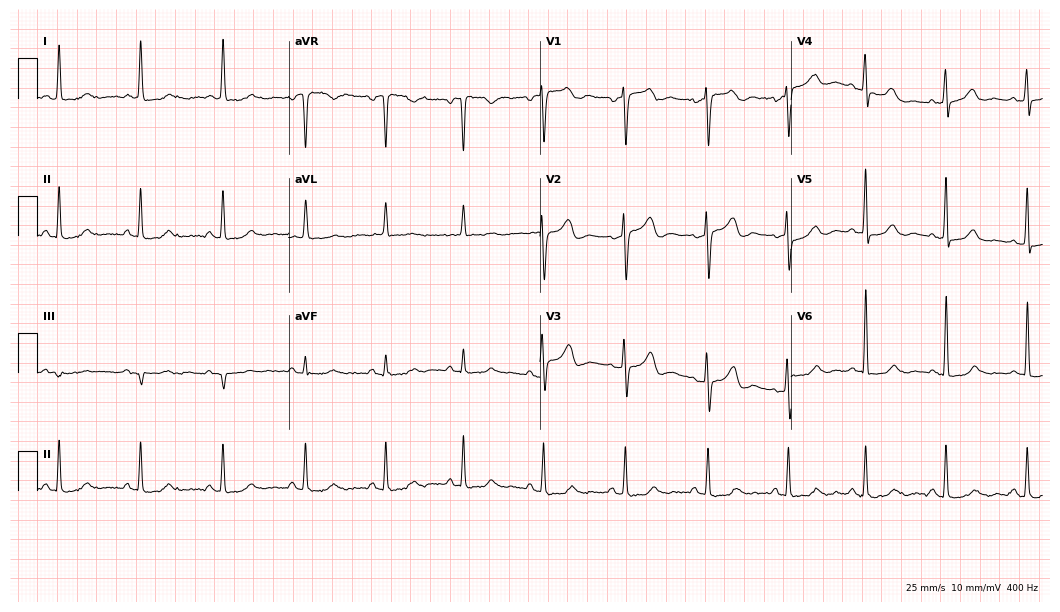
Resting 12-lead electrocardiogram. Patient: a 59-year-old woman. None of these six findings is recorded: first-degree AV block, right bundle branch block (RBBB), left bundle branch block (LBBB), sinus bradycardia, atrial fibrillation (AF), sinus tachycardia. Only these six findings were labelled.